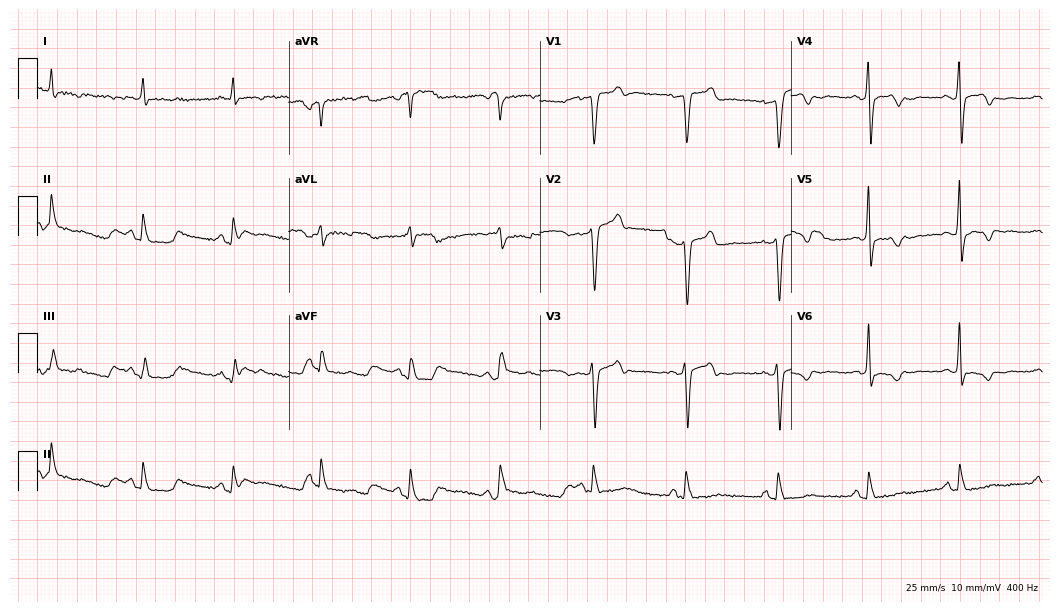
Electrocardiogram (10.2-second recording at 400 Hz), a 65-year-old male. Overall reading on record: normal ECG.